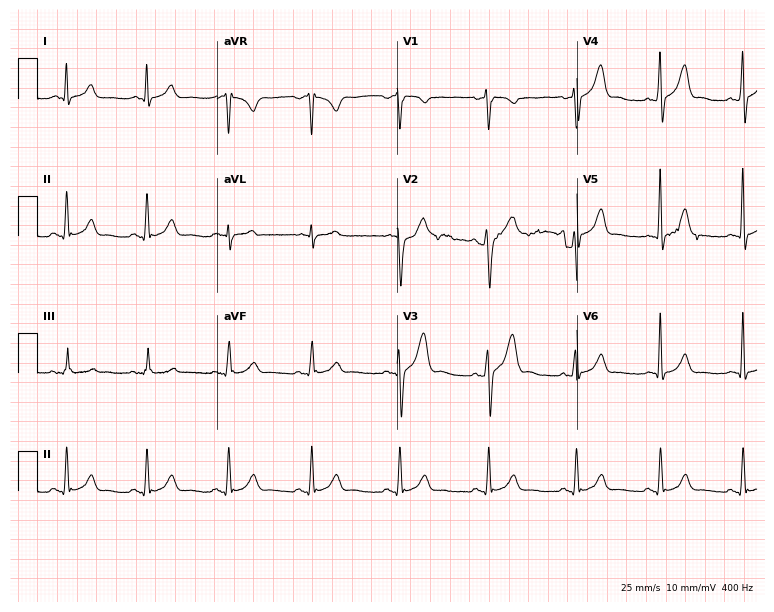
Resting 12-lead electrocardiogram. Patient: a male, 50 years old. Read as a normal ECG.